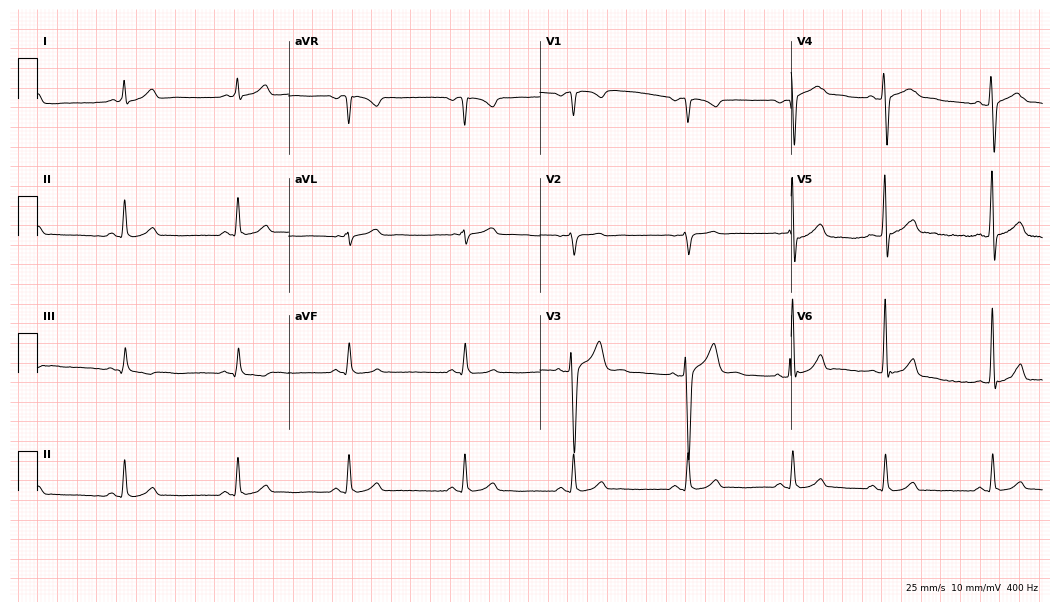
Resting 12-lead electrocardiogram (10.2-second recording at 400 Hz). Patient: a male, 37 years old. Read as a normal ECG.